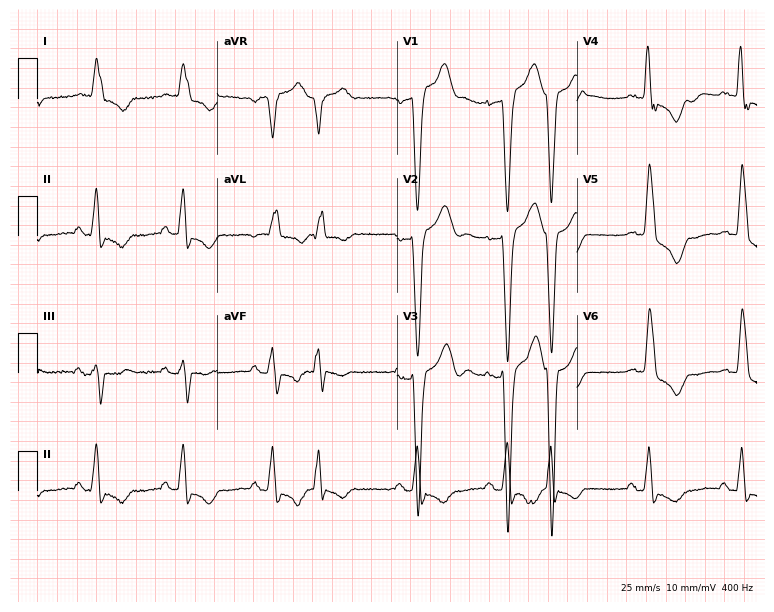
Resting 12-lead electrocardiogram (7.3-second recording at 400 Hz). Patient: a 78-year-old female. The tracing shows left bundle branch block (LBBB).